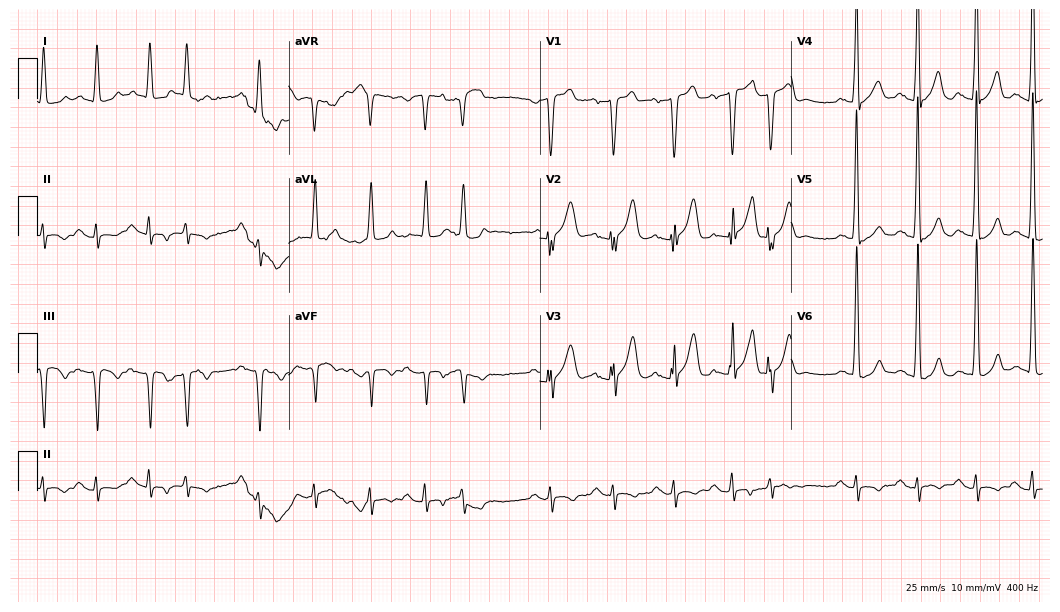
Resting 12-lead electrocardiogram (10.2-second recording at 400 Hz). Patient: a 71-year-old male. The tracing shows sinus tachycardia (a sinus rate of 100 beats per minute or more).